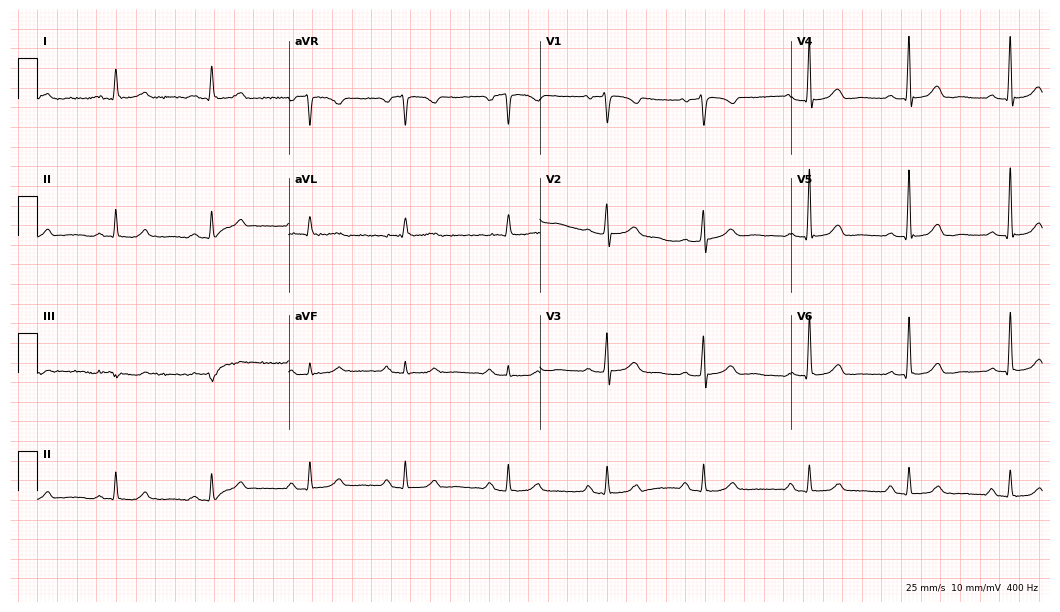
12-lead ECG from a woman, 61 years old. Recorded interpretation: within normal limits.